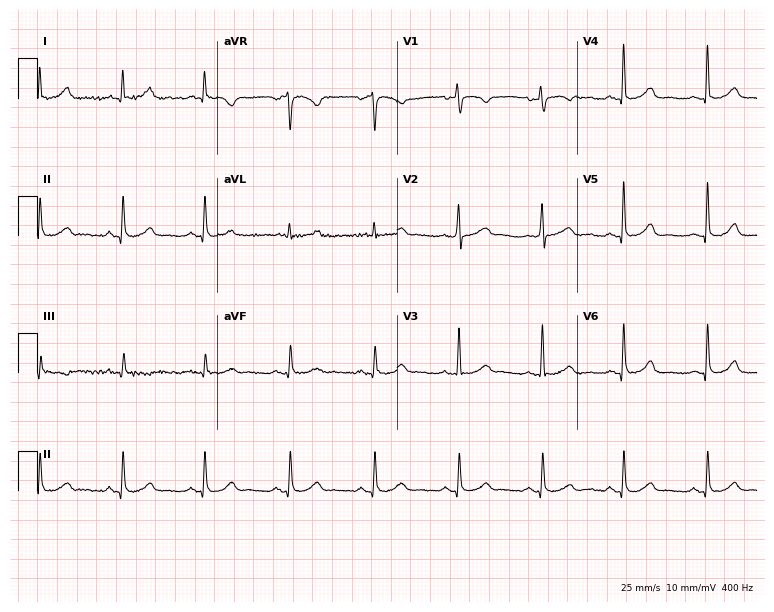
Standard 12-lead ECG recorded from a 66-year-old female (7.3-second recording at 400 Hz). Read as a normal ECG.